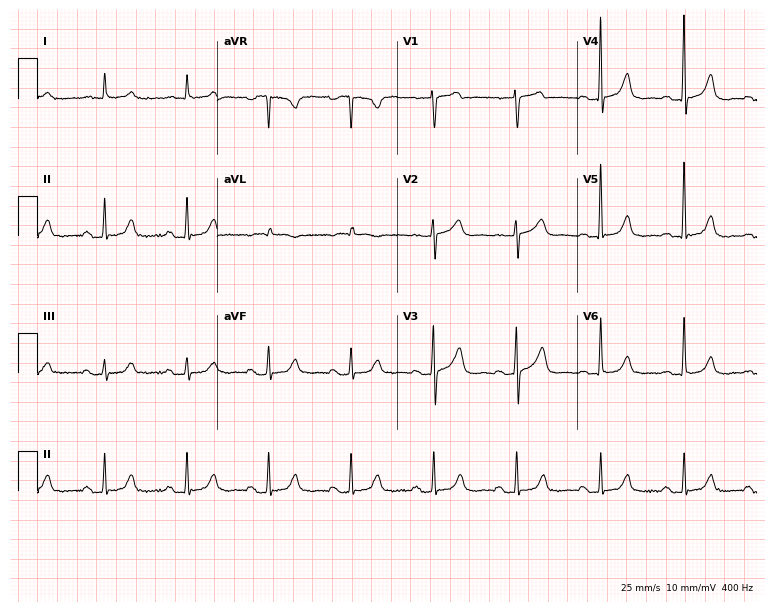
Standard 12-lead ECG recorded from a man, 73 years old (7.3-second recording at 400 Hz). Read as a normal ECG.